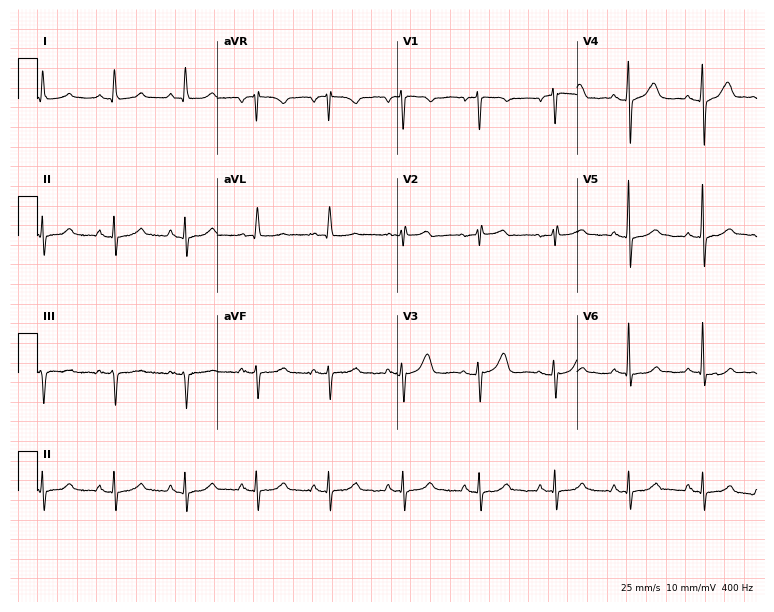
Standard 12-lead ECG recorded from a female, 48 years old (7.3-second recording at 400 Hz). Read as a normal ECG.